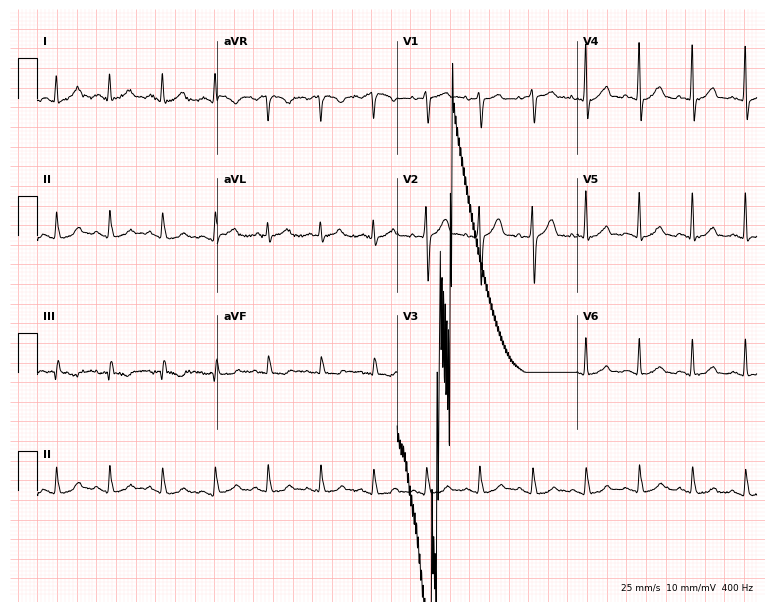
Electrocardiogram (7.3-second recording at 400 Hz), a 70-year-old male patient. Interpretation includes sinus tachycardia (a sinus rate of 100 beats per minute or more).